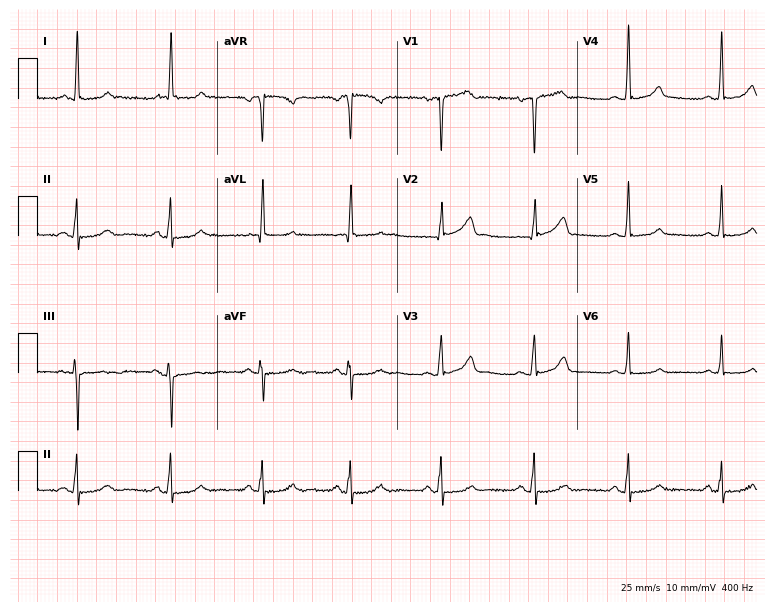
12-lead ECG (7.3-second recording at 400 Hz) from a female, 60 years old. Screened for six findings — first-degree AV block, right bundle branch block, left bundle branch block, sinus bradycardia, atrial fibrillation, sinus tachycardia — none is recorded. Other findings, if any, are not listed.